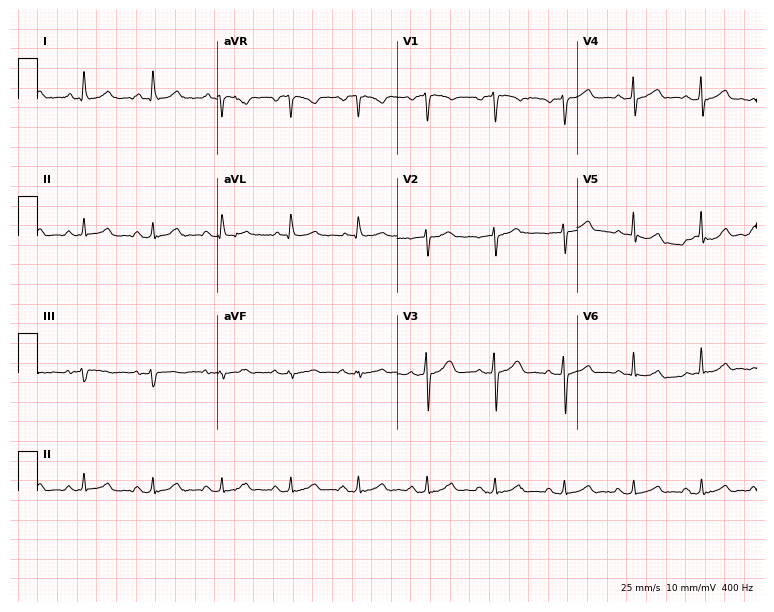
Resting 12-lead electrocardiogram. Patient: a 57-year-old male. None of these six findings is recorded: first-degree AV block, right bundle branch block, left bundle branch block, sinus bradycardia, atrial fibrillation, sinus tachycardia. Other findings, if any, are not listed.